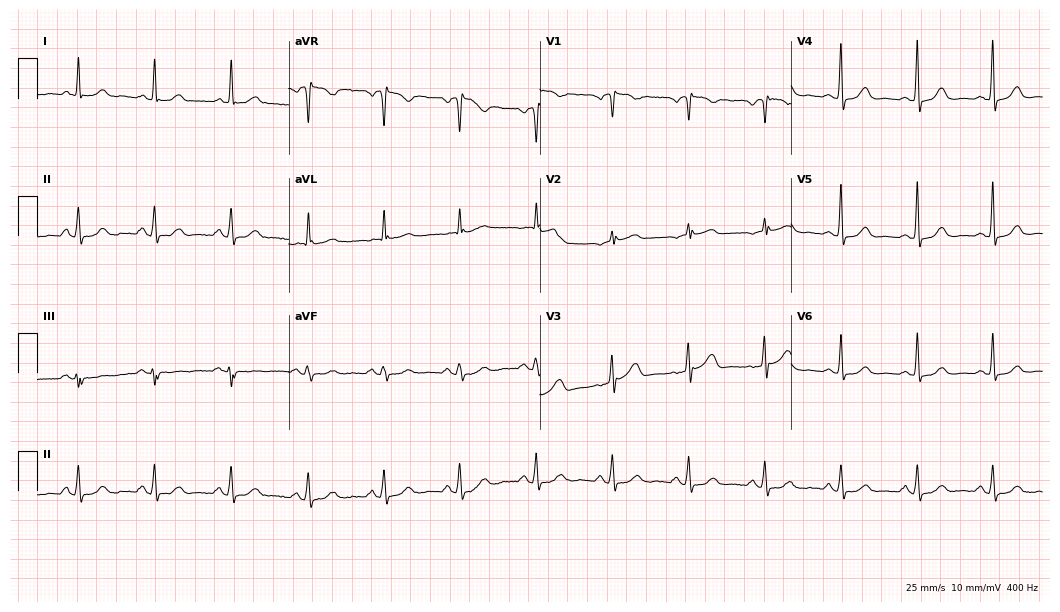
Standard 12-lead ECG recorded from a female patient, 84 years old (10.2-second recording at 400 Hz). None of these six findings is recorded: first-degree AV block, right bundle branch block, left bundle branch block, sinus bradycardia, atrial fibrillation, sinus tachycardia. Findings outside these six are not listed.